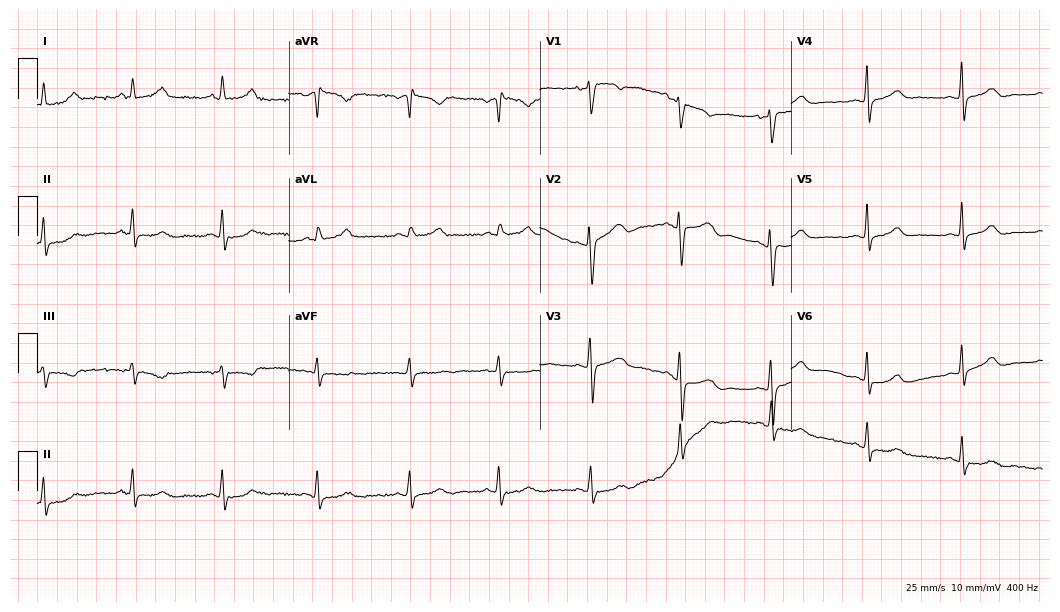
12-lead ECG (10.2-second recording at 400 Hz) from a female patient, 44 years old. Screened for six findings — first-degree AV block, right bundle branch block, left bundle branch block, sinus bradycardia, atrial fibrillation, sinus tachycardia — none is recorded.